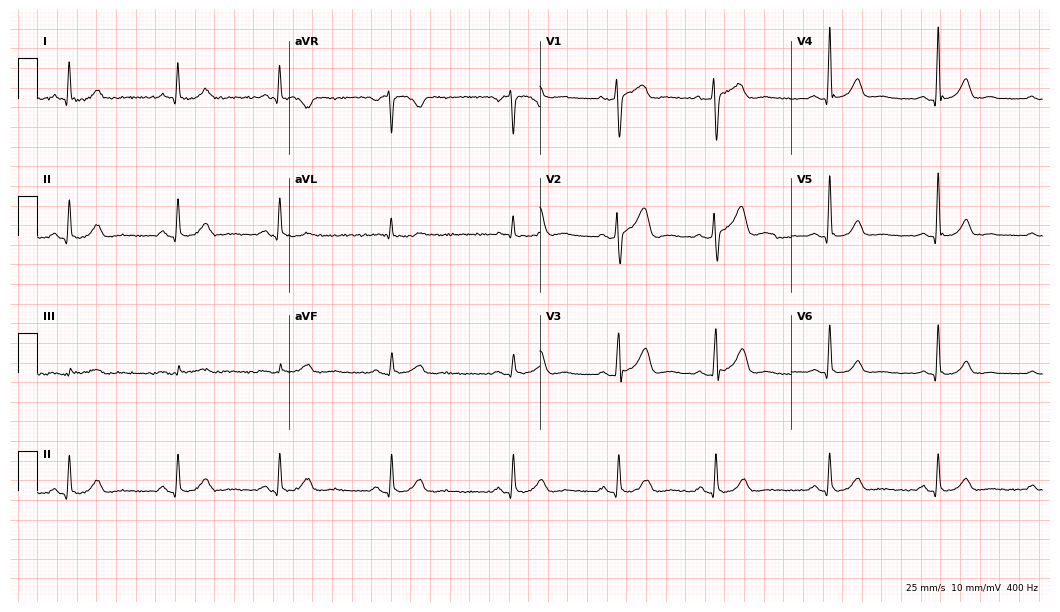
Resting 12-lead electrocardiogram (10.2-second recording at 400 Hz). Patient: a 46-year-old male. Read as a normal ECG.